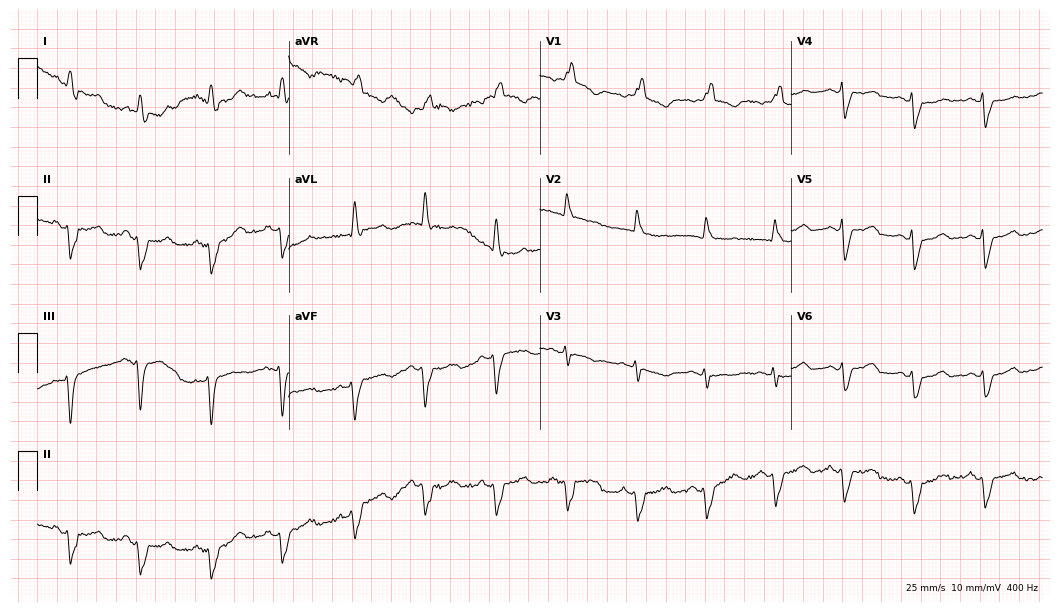
Resting 12-lead electrocardiogram. Patient: a 74-year-old woman. None of these six findings is recorded: first-degree AV block, right bundle branch block, left bundle branch block, sinus bradycardia, atrial fibrillation, sinus tachycardia.